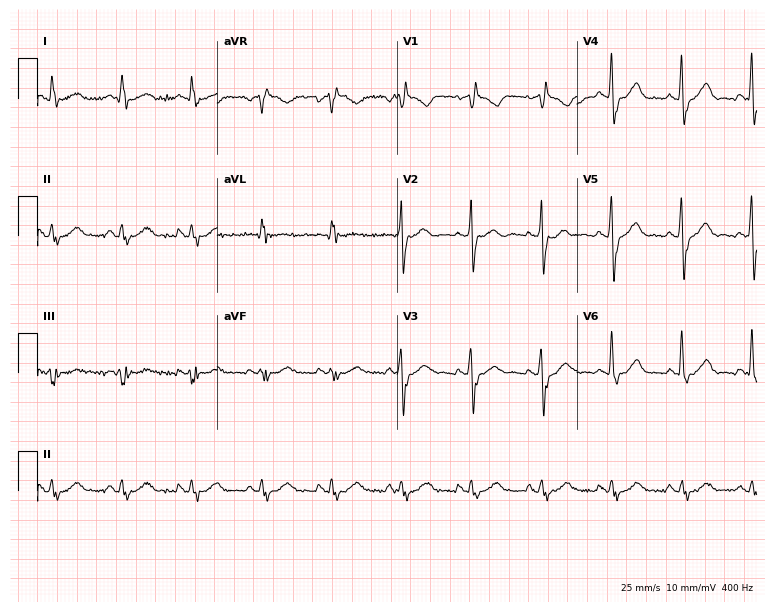
Resting 12-lead electrocardiogram (7.3-second recording at 400 Hz). Patient: a 59-year-old male. The tracing shows right bundle branch block.